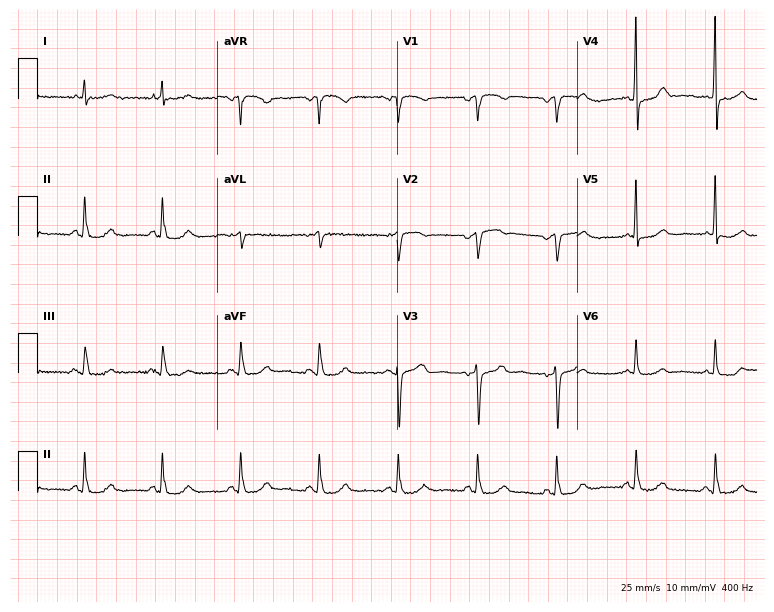
ECG — a male, 81 years old. Screened for six findings — first-degree AV block, right bundle branch block, left bundle branch block, sinus bradycardia, atrial fibrillation, sinus tachycardia — none is recorded.